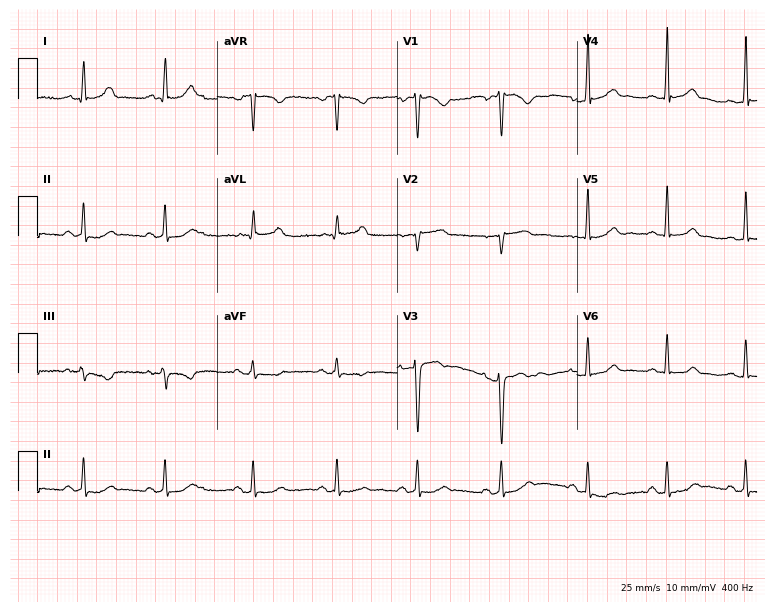
ECG — a 21-year-old female patient. Labelled as a normal ECG.